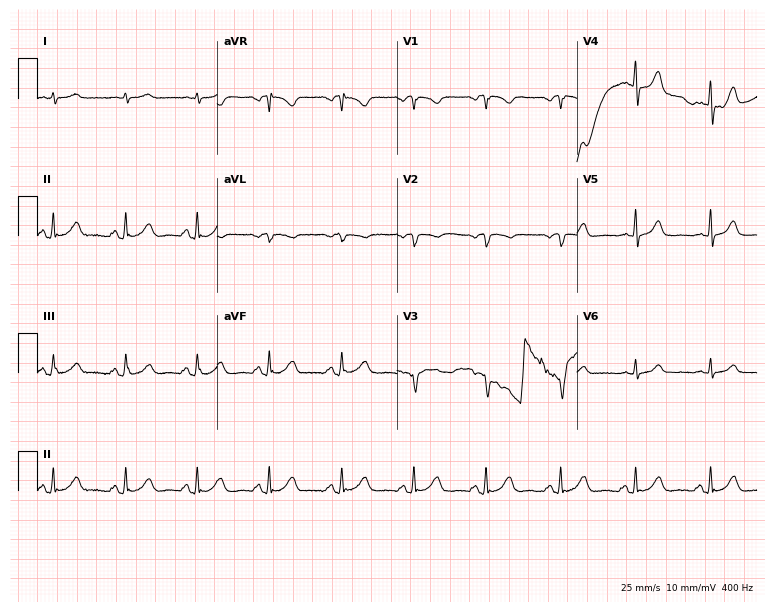
Resting 12-lead electrocardiogram. Patient: a man, 66 years old. None of these six findings is recorded: first-degree AV block, right bundle branch block, left bundle branch block, sinus bradycardia, atrial fibrillation, sinus tachycardia.